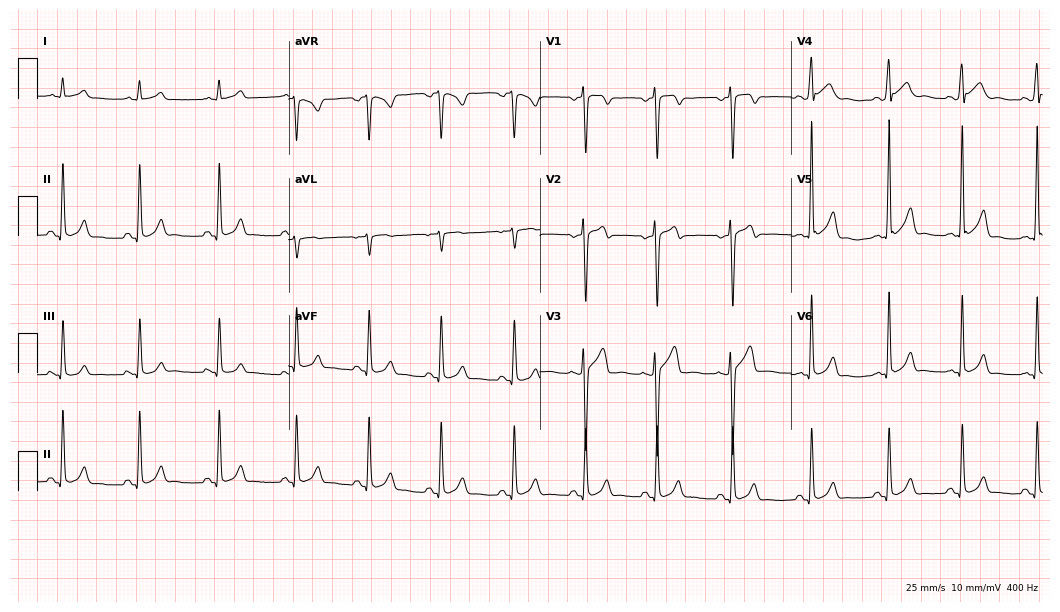
Resting 12-lead electrocardiogram. Patient: a 40-year-old male. None of these six findings is recorded: first-degree AV block, right bundle branch block, left bundle branch block, sinus bradycardia, atrial fibrillation, sinus tachycardia. Other findings, if any, are not listed.